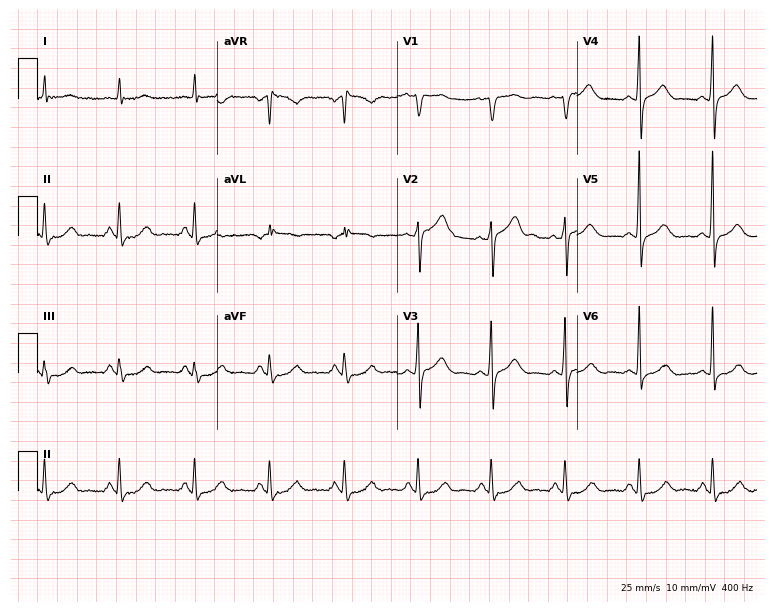
ECG (7.3-second recording at 400 Hz) — a male patient, 68 years old. Labelled as a normal ECG.